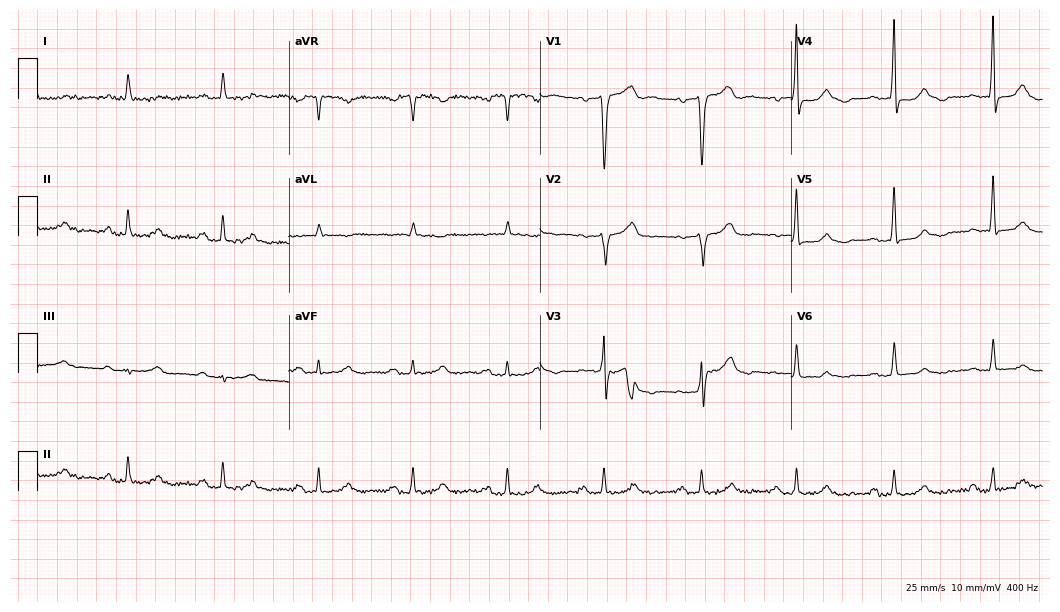
12-lead ECG (10.2-second recording at 400 Hz) from a man, 65 years old. Findings include first-degree AV block.